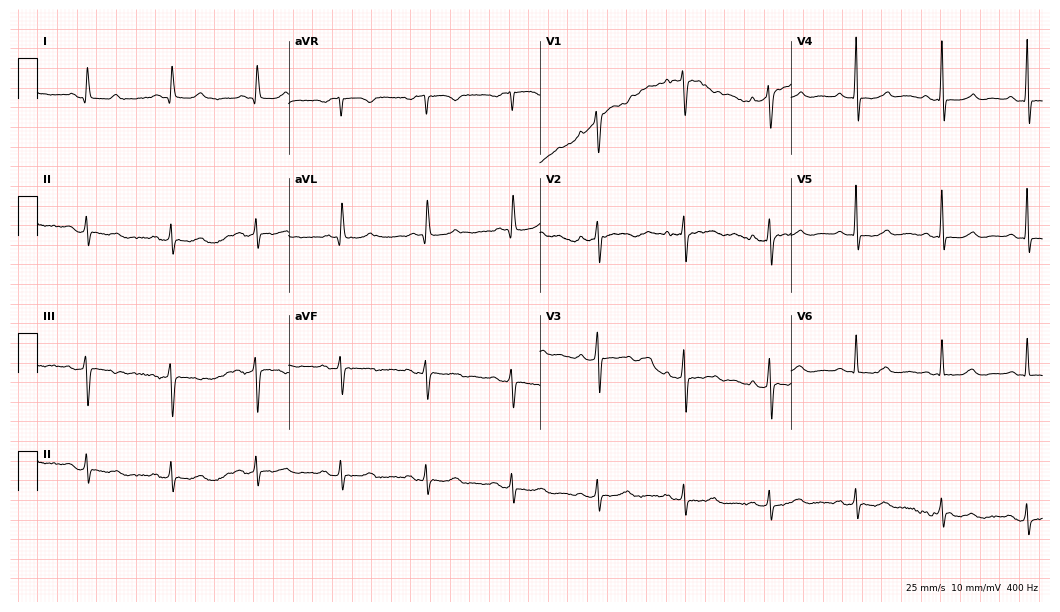
Resting 12-lead electrocardiogram. Patient: a female, 82 years old. None of these six findings is recorded: first-degree AV block, right bundle branch block, left bundle branch block, sinus bradycardia, atrial fibrillation, sinus tachycardia.